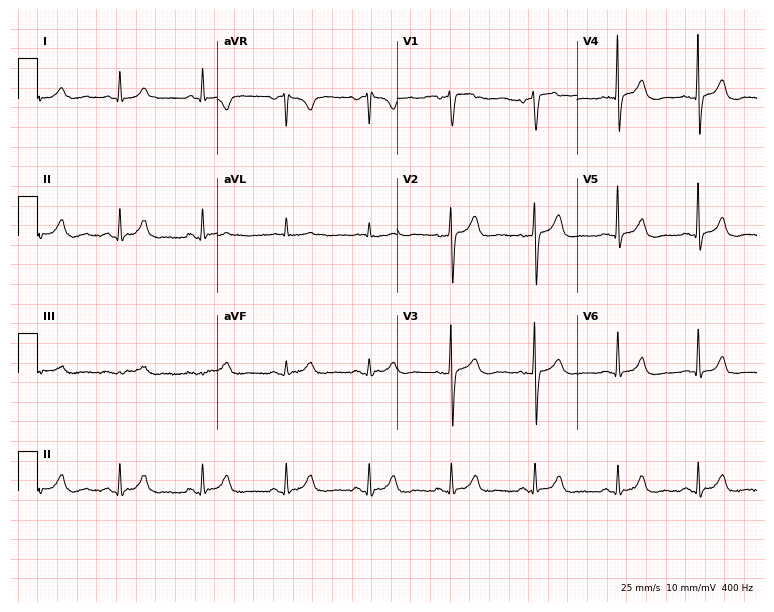
ECG — a 48-year-old male. Screened for six findings — first-degree AV block, right bundle branch block, left bundle branch block, sinus bradycardia, atrial fibrillation, sinus tachycardia — none is recorded.